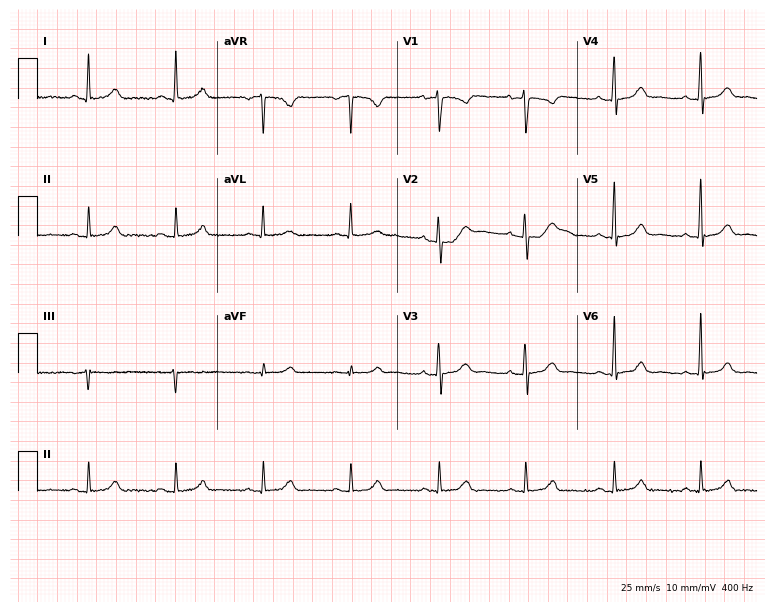
12-lead ECG from a 43-year-old female (7.3-second recording at 400 Hz). Recorded interpretation: within normal limits.